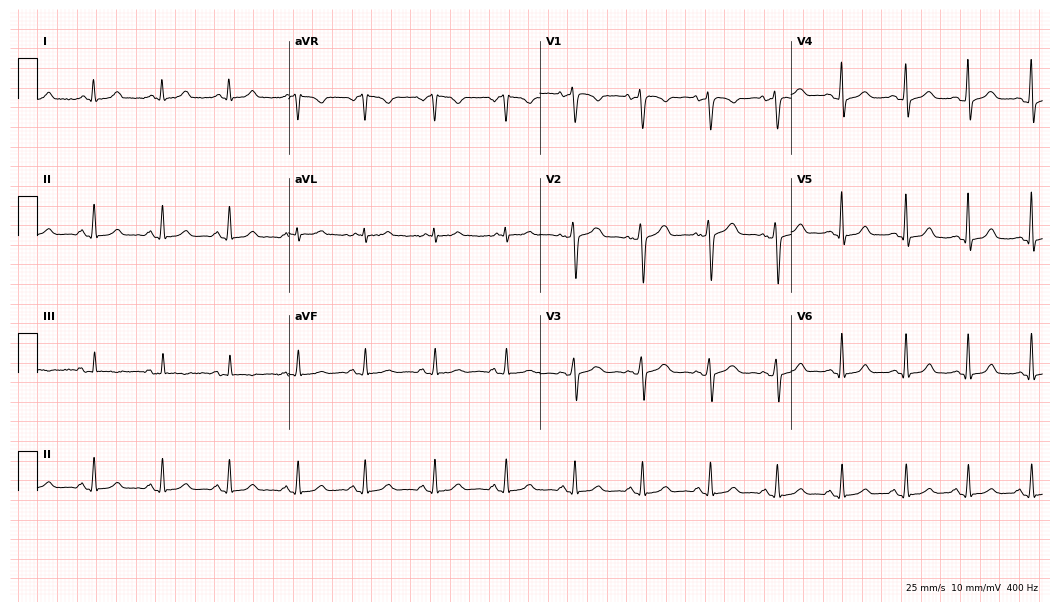
ECG — a 43-year-old female patient. Screened for six findings — first-degree AV block, right bundle branch block, left bundle branch block, sinus bradycardia, atrial fibrillation, sinus tachycardia — none is recorded. Other findings, if any, are not listed.